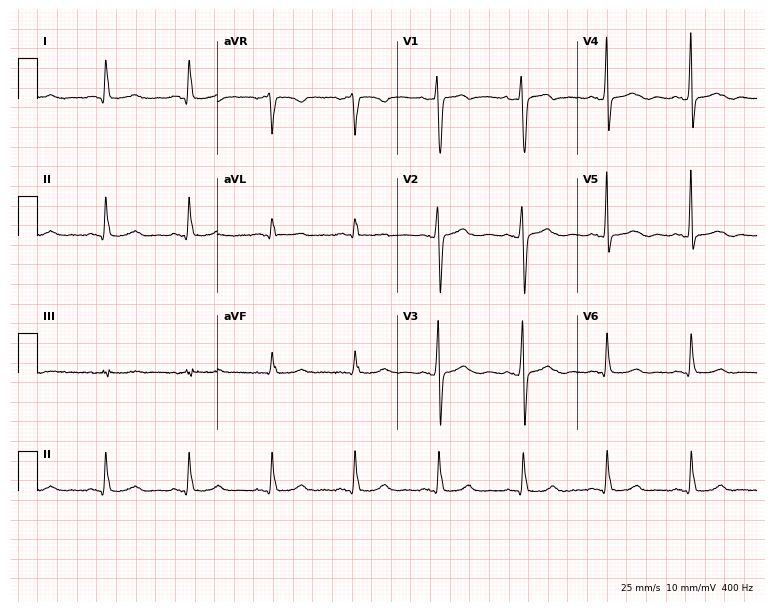
12-lead ECG from a 50-year-old female. Screened for six findings — first-degree AV block, right bundle branch block, left bundle branch block, sinus bradycardia, atrial fibrillation, sinus tachycardia — none is recorded. Other findings, if any, are not listed.